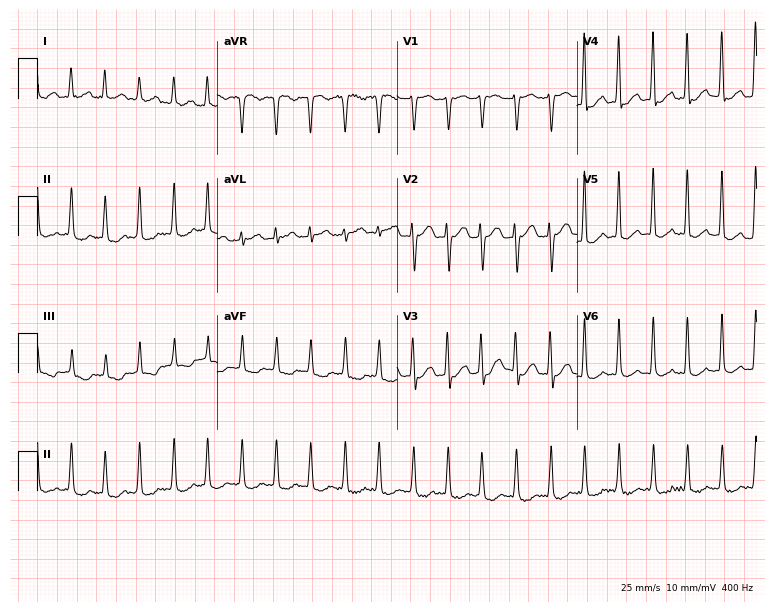
12-lead ECG from a 51-year-old woman. No first-degree AV block, right bundle branch block (RBBB), left bundle branch block (LBBB), sinus bradycardia, atrial fibrillation (AF) or sinus tachycardia recorded for this tracing. Findings outside these six are not listed.